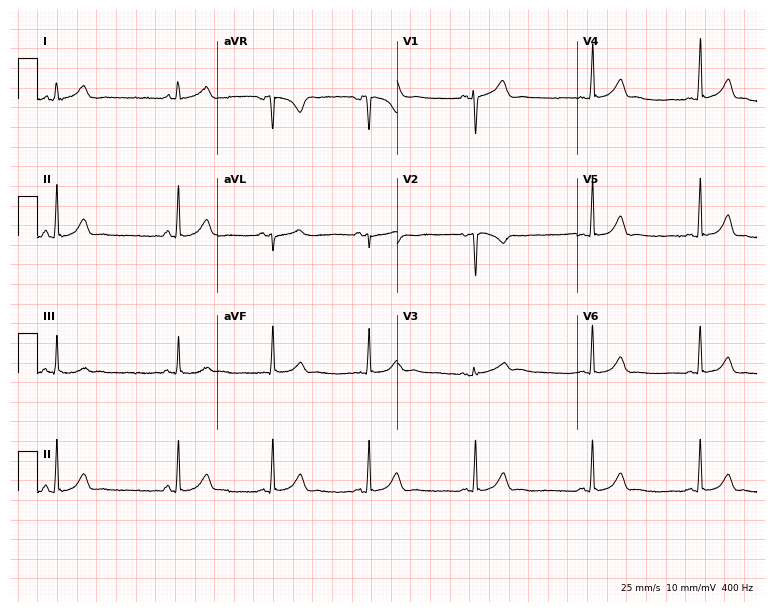
12-lead ECG from a 23-year-old female. Labelled as a normal ECG.